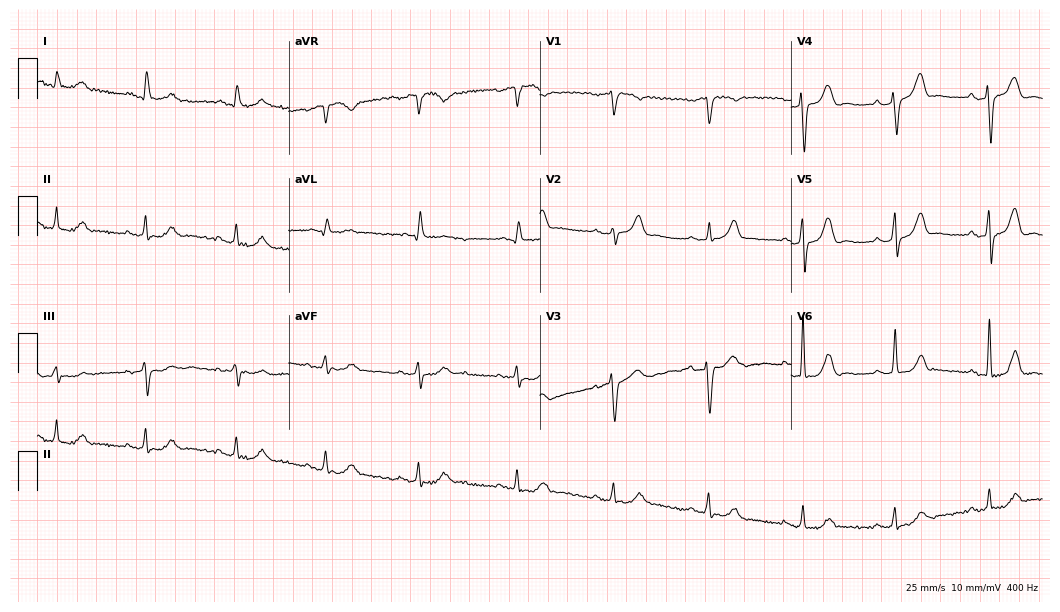
Electrocardiogram (10.2-second recording at 400 Hz), a male, 82 years old. Of the six screened findings (first-degree AV block, right bundle branch block, left bundle branch block, sinus bradycardia, atrial fibrillation, sinus tachycardia), none is recorded.